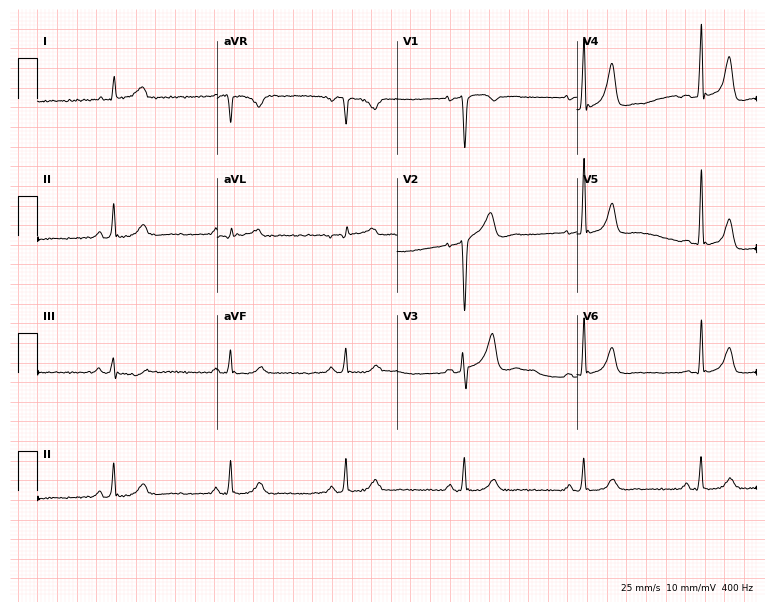
Resting 12-lead electrocardiogram. Patient: a man, 49 years old. None of these six findings is recorded: first-degree AV block, right bundle branch block, left bundle branch block, sinus bradycardia, atrial fibrillation, sinus tachycardia.